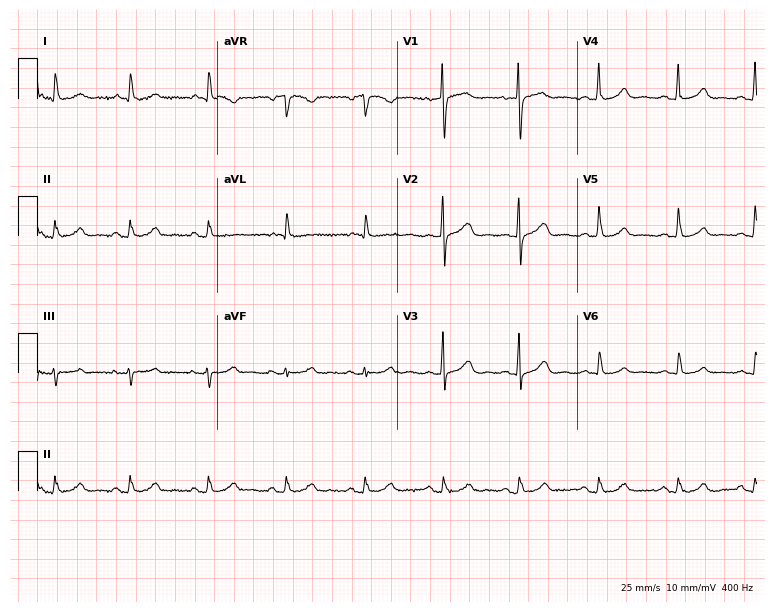
Electrocardiogram, a 77-year-old female patient. Overall reading on record: normal ECG.